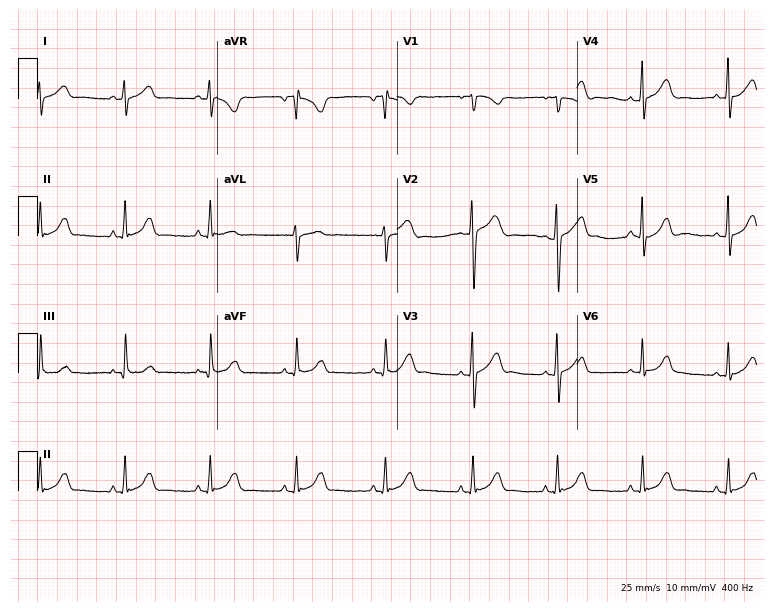
ECG (7.3-second recording at 400 Hz) — a 17-year-old female. Labelled as a normal ECG.